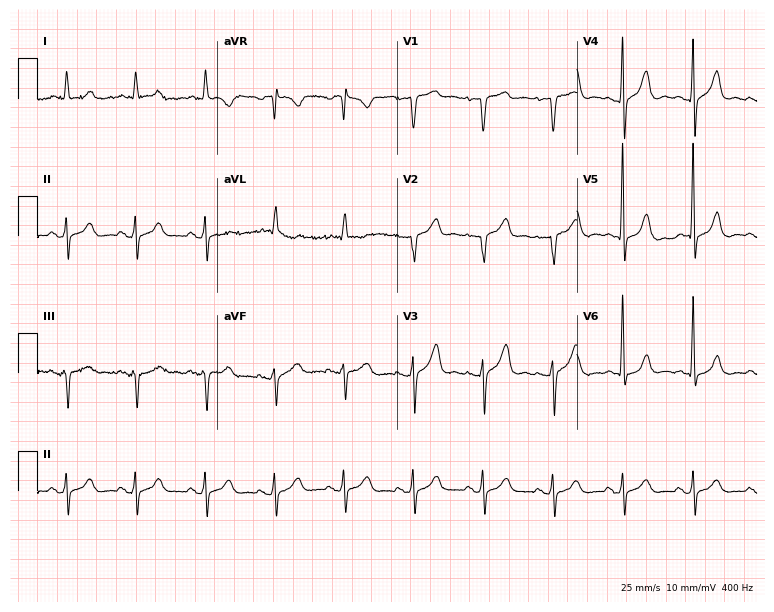
ECG (7.3-second recording at 400 Hz) — a man, 78 years old. Labelled as a normal ECG.